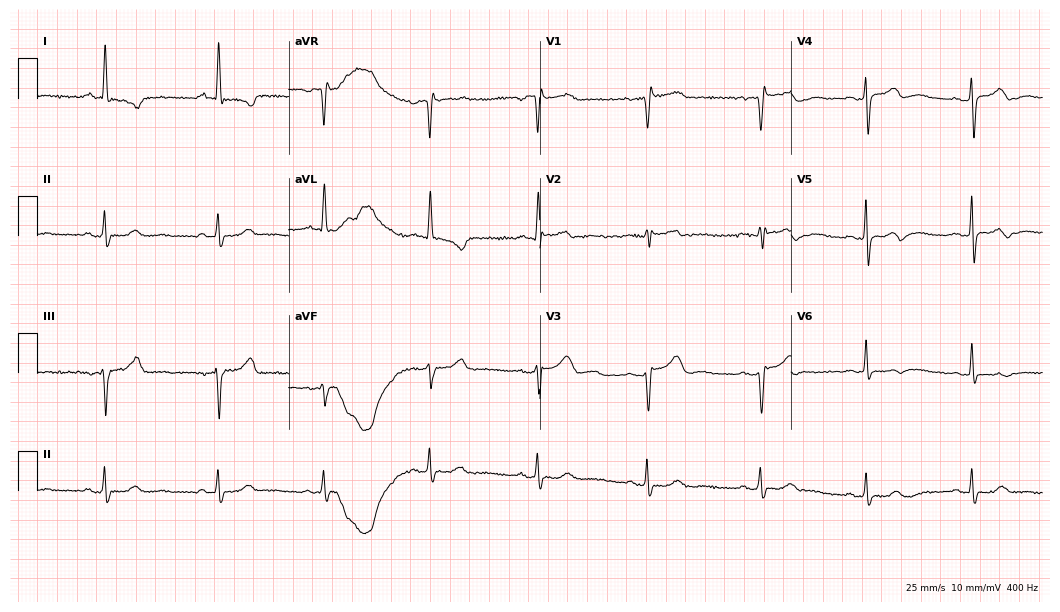
Standard 12-lead ECG recorded from a 57-year-old female patient (10.2-second recording at 400 Hz). None of these six findings is recorded: first-degree AV block, right bundle branch block, left bundle branch block, sinus bradycardia, atrial fibrillation, sinus tachycardia.